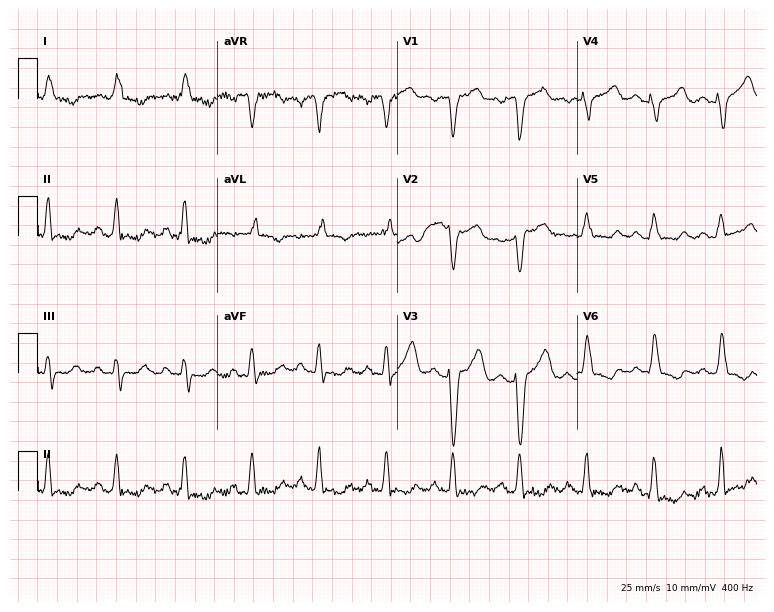
Standard 12-lead ECG recorded from a female, 49 years old (7.3-second recording at 400 Hz). The tracing shows left bundle branch block.